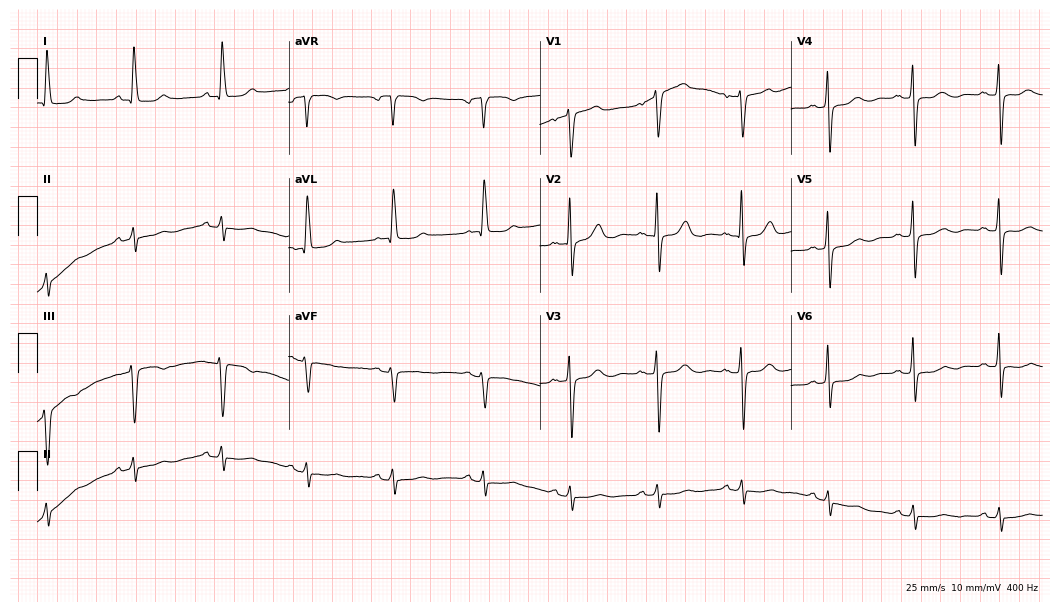
Standard 12-lead ECG recorded from a 22-year-old female patient. None of these six findings is recorded: first-degree AV block, right bundle branch block (RBBB), left bundle branch block (LBBB), sinus bradycardia, atrial fibrillation (AF), sinus tachycardia.